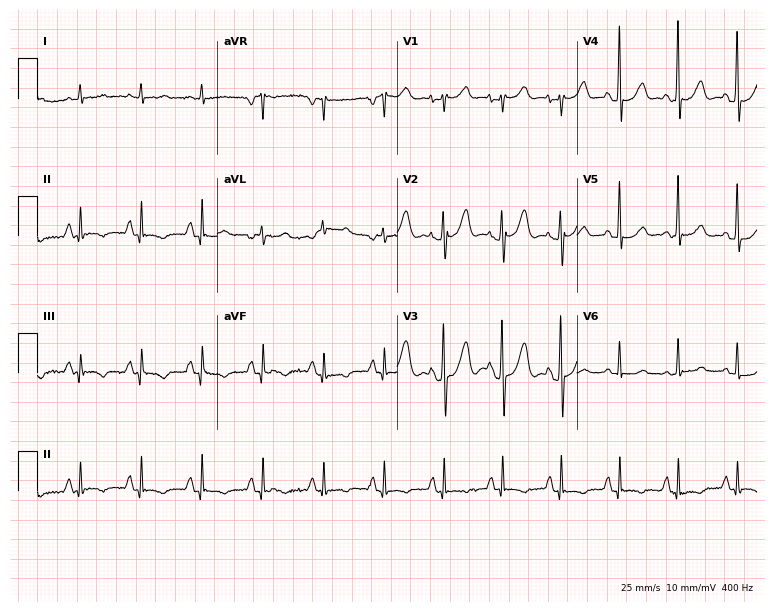
Resting 12-lead electrocardiogram (7.3-second recording at 400 Hz). Patient: a male, 82 years old. None of these six findings is recorded: first-degree AV block, right bundle branch block, left bundle branch block, sinus bradycardia, atrial fibrillation, sinus tachycardia. Only these six findings were labelled.